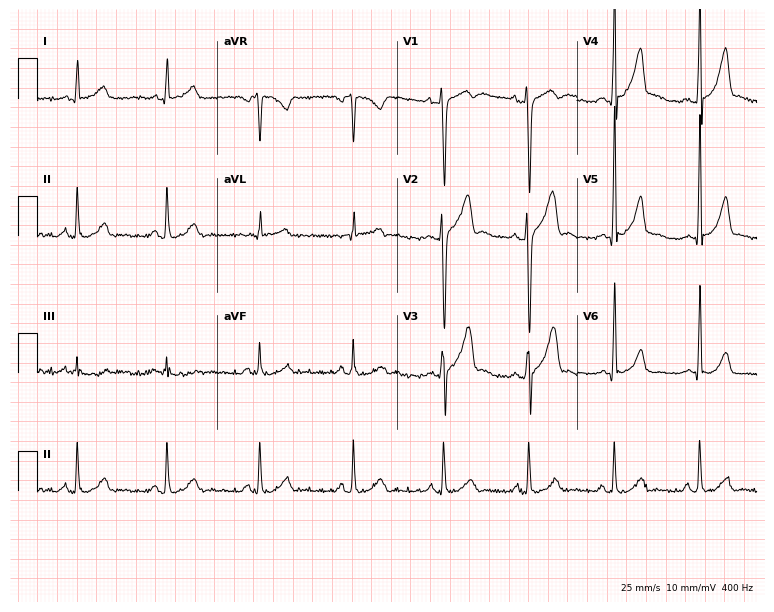
Resting 12-lead electrocardiogram (7.3-second recording at 400 Hz). Patient: a 20-year-old male. Read as a normal ECG.